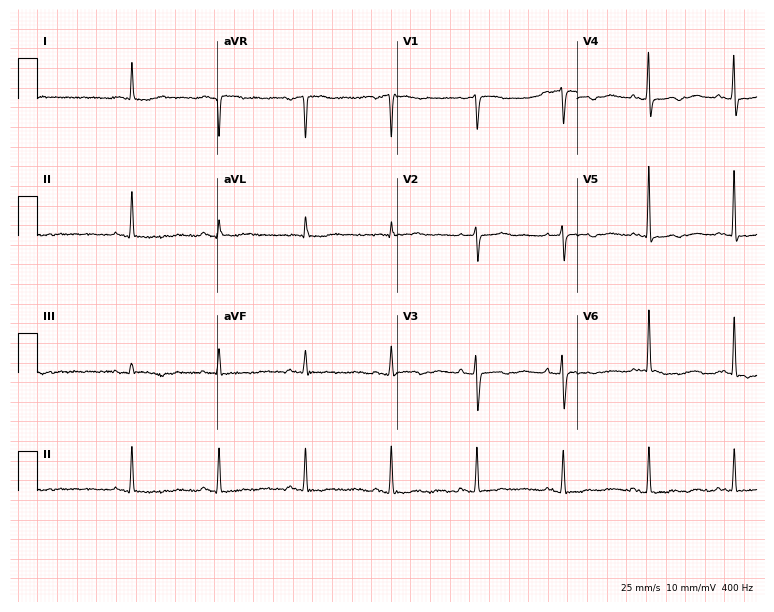
12-lead ECG from an 82-year-old woman (7.3-second recording at 400 Hz). No first-degree AV block, right bundle branch block, left bundle branch block, sinus bradycardia, atrial fibrillation or sinus tachycardia recorded for this tracing. Other findings, if any, are not listed.